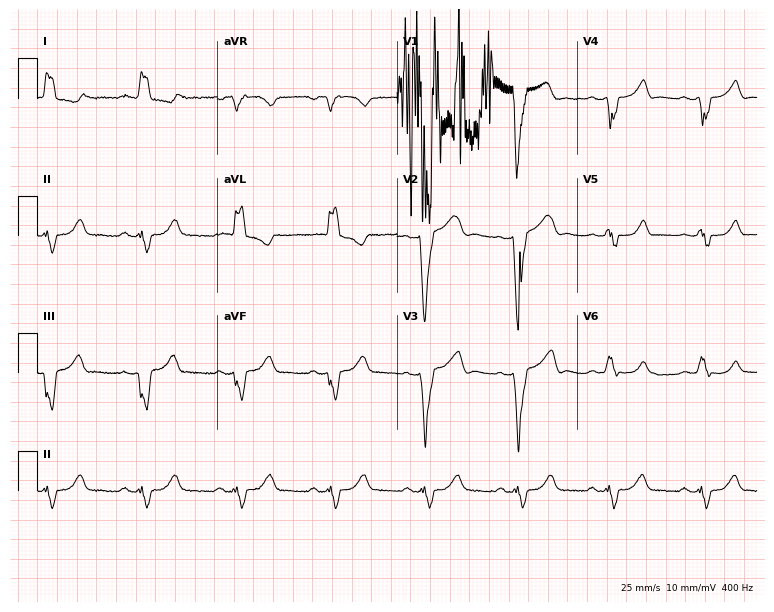
12-lead ECG (7.3-second recording at 400 Hz) from a female, 68 years old. Findings include atrial fibrillation.